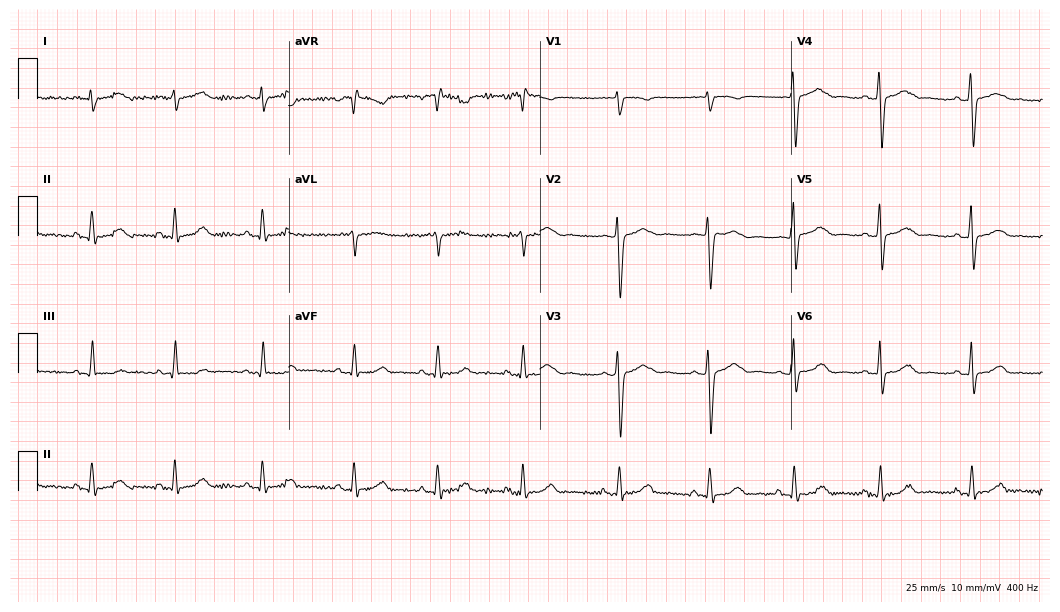
12-lead ECG from a woman, 35 years old. No first-degree AV block, right bundle branch block (RBBB), left bundle branch block (LBBB), sinus bradycardia, atrial fibrillation (AF) or sinus tachycardia recorded for this tracing. Only these six findings were labelled.